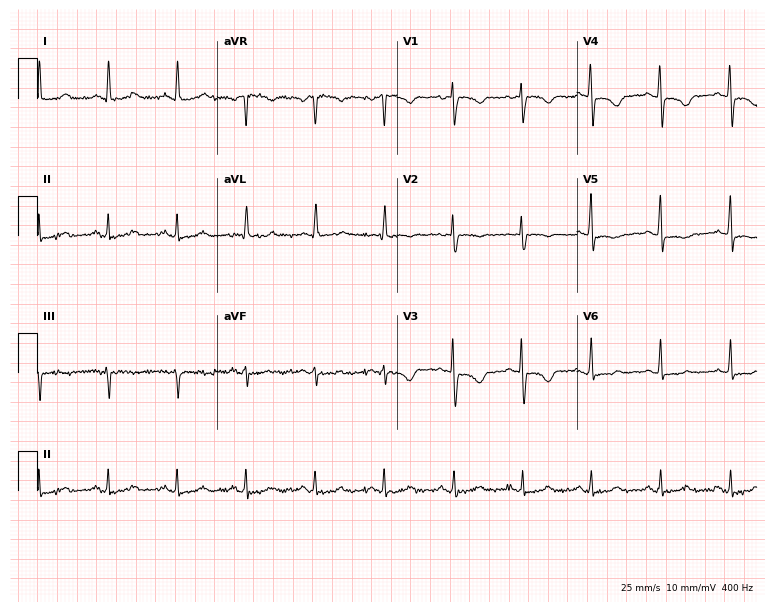
Resting 12-lead electrocardiogram. Patient: a 47-year-old female. None of these six findings is recorded: first-degree AV block, right bundle branch block (RBBB), left bundle branch block (LBBB), sinus bradycardia, atrial fibrillation (AF), sinus tachycardia. Findings outside these six are not listed.